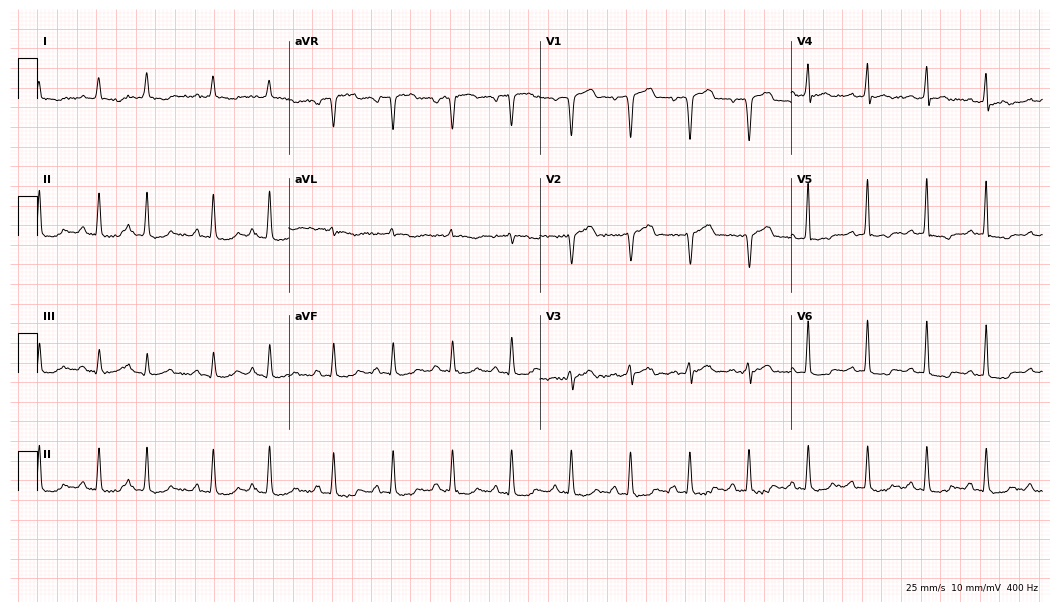
ECG (10.2-second recording at 400 Hz) — a 78-year-old man. Screened for six findings — first-degree AV block, right bundle branch block (RBBB), left bundle branch block (LBBB), sinus bradycardia, atrial fibrillation (AF), sinus tachycardia — none is recorded. Only these six findings were labelled.